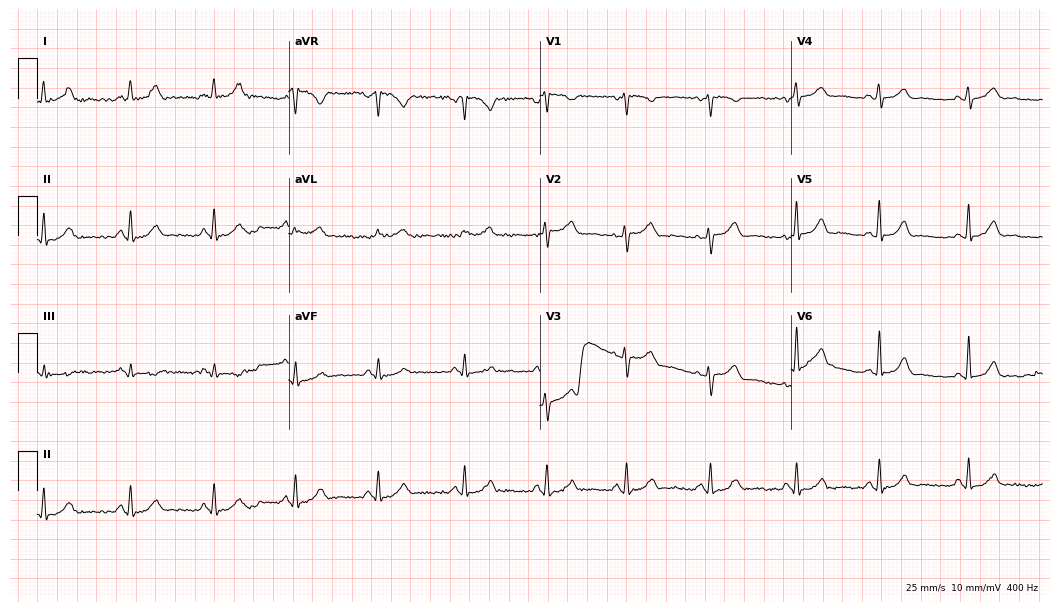
ECG (10.2-second recording at 400 Hz) — a 46-year-old female patient. Labelled as a normal ECG.